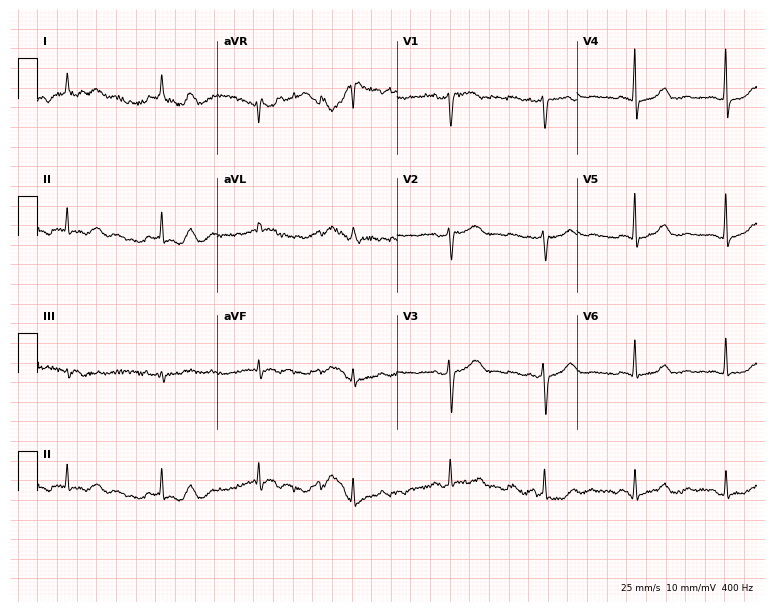
Electrocardiogram (7.3-second recording at 400 Hz), a 72-year-old female patient. Overall reading on record: normal ECG.